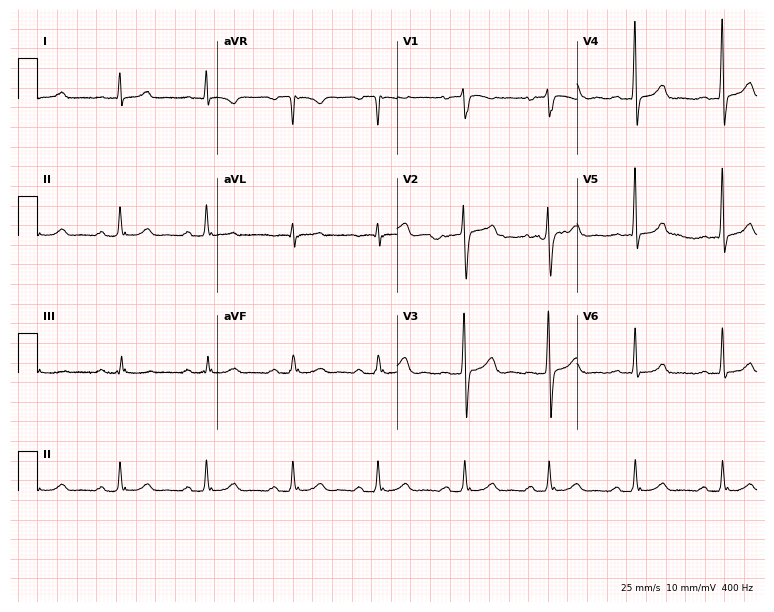
12-lead ECG from a 55-year-old male. Screened for six findings — first-degree AV block, right bundle branch block, left bundle branch block, sinus bradycardia, atrial fibrillation, sinus tachycardia — none is recorded. Other findings, if any, are not listed.